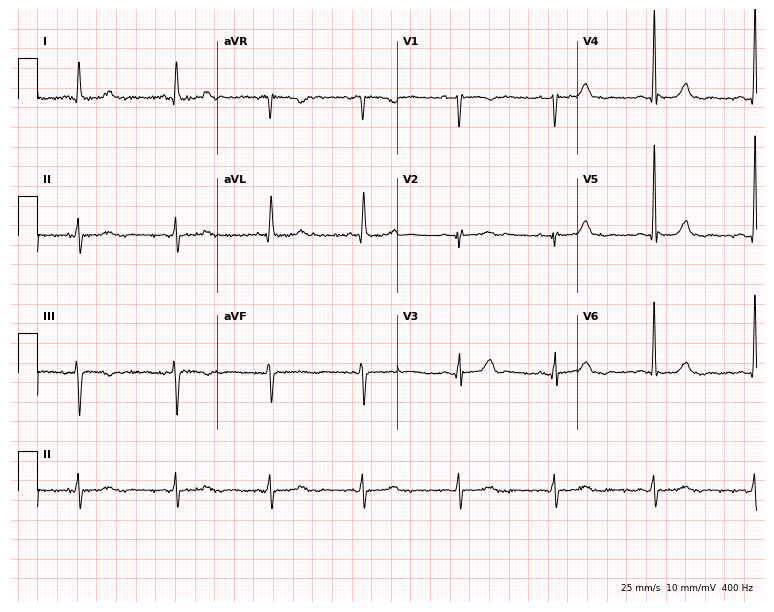
ECG — a female patient, 67 years old. Screened for six findings — first-degree AV block, right bundle branch block, left bundle branch block, sinus bradycardia, atrial fibrillation, sinus tachycardia — none is recorded.